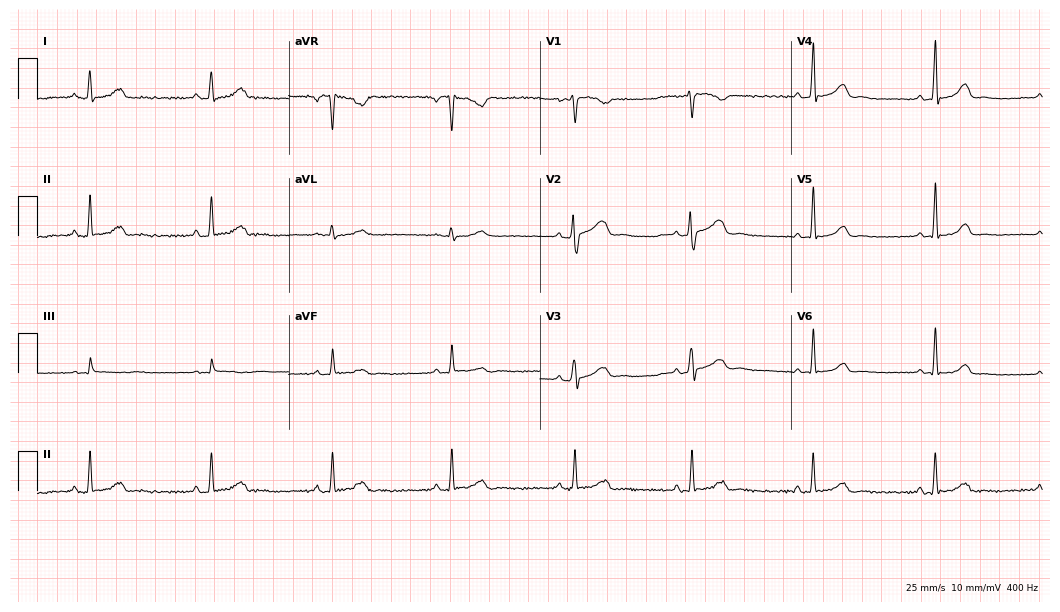
Electrocardiogram (10.2-second recording at 400 Hz), a 33-year-old woman. Interpretation includes sinus bradycardia (a sinus rate of 50 beats per minute or less).